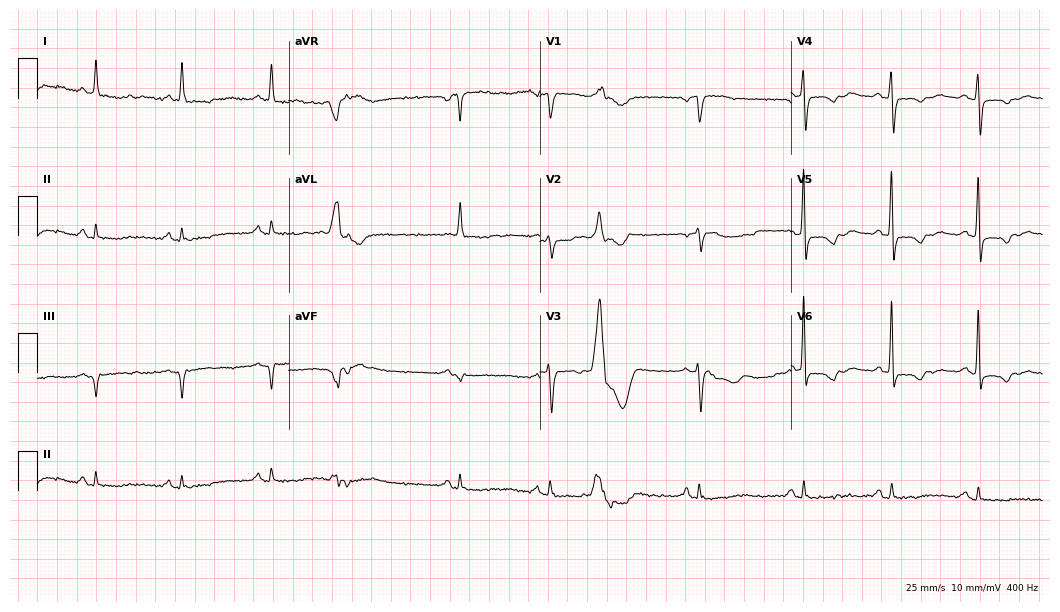
Electrocardiogram (10.2-second recording at 400 Hz), a 77-year-old female patient. Of the six screened findings (first-degree AV block, right bundle branch block (RBBB), left bundle branch block (LBBB), sinus bradycardia, atrial fibrillation (AF), sinus tachycardia), none is recorded. Findings outside these six are not listed.